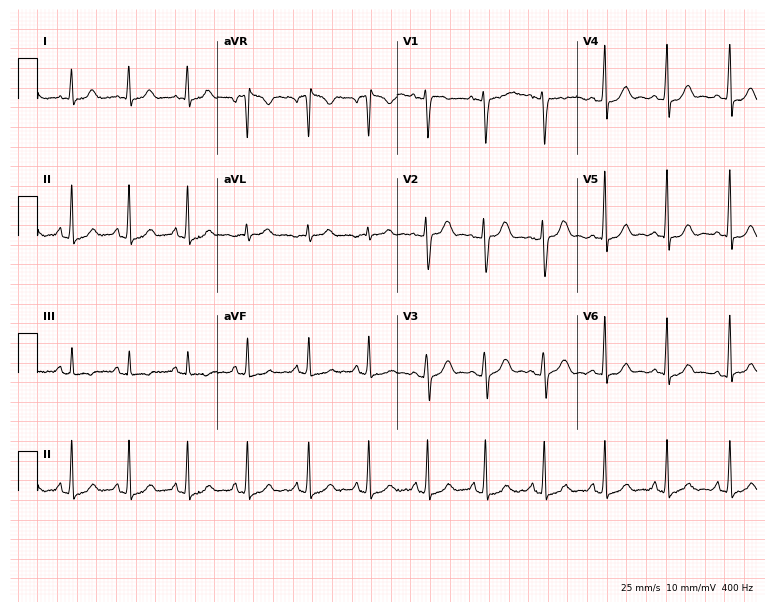
Electrocardiogram (7.3-second recording at 400 Hz), a 28-year-old woman. Of the six screened findings (first-degree AV block, right bundle branch block, left bundle branch block, sinus bradycardia, atrial fibrillation, sinus tachycardia), none is recorded. Only these six findings were labelled.